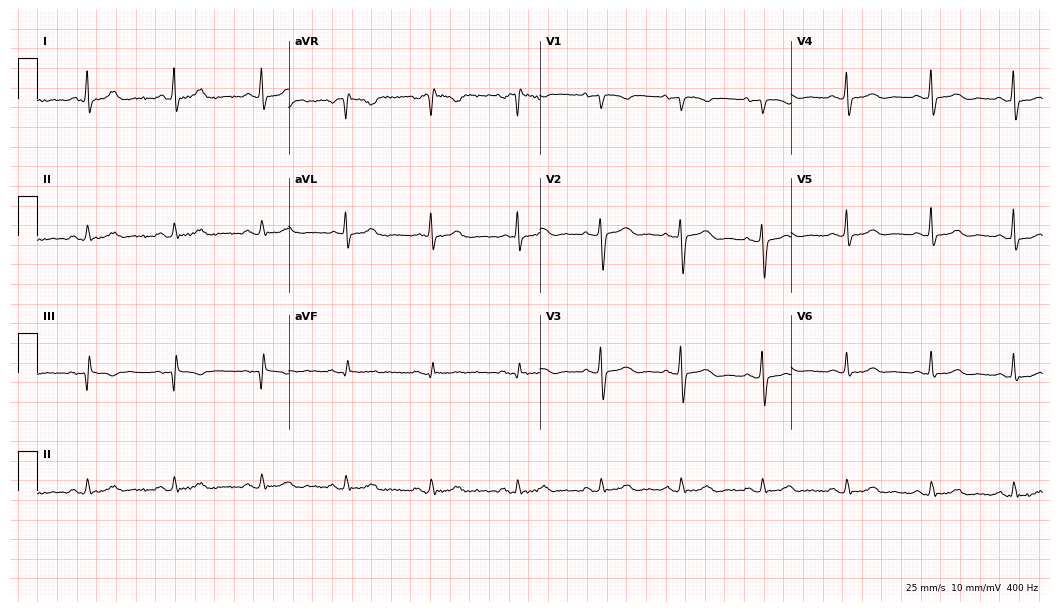
12-lead ECG from a 46-year-old woman. Screened for six findings — first-degree AV block, right bundle branch block, left bundle branch block, sinus bradycardia, atrial fibrillation, sinus tachycardia — none is recorded.